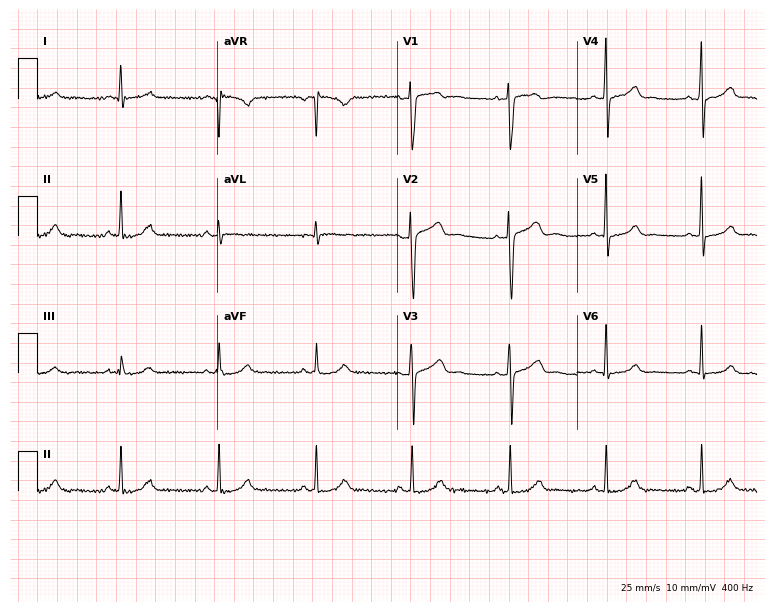
12-lead ECG (7.3-second recording at 400 Hz) from a woman, 42 years old. Screened for six findings — first-degree AV block, right bundle branch block, left bundle branch block, sinus bradycardia, atrial fibrillation, sinus tachycardia — none is recorded. Only these six findings were labelled.